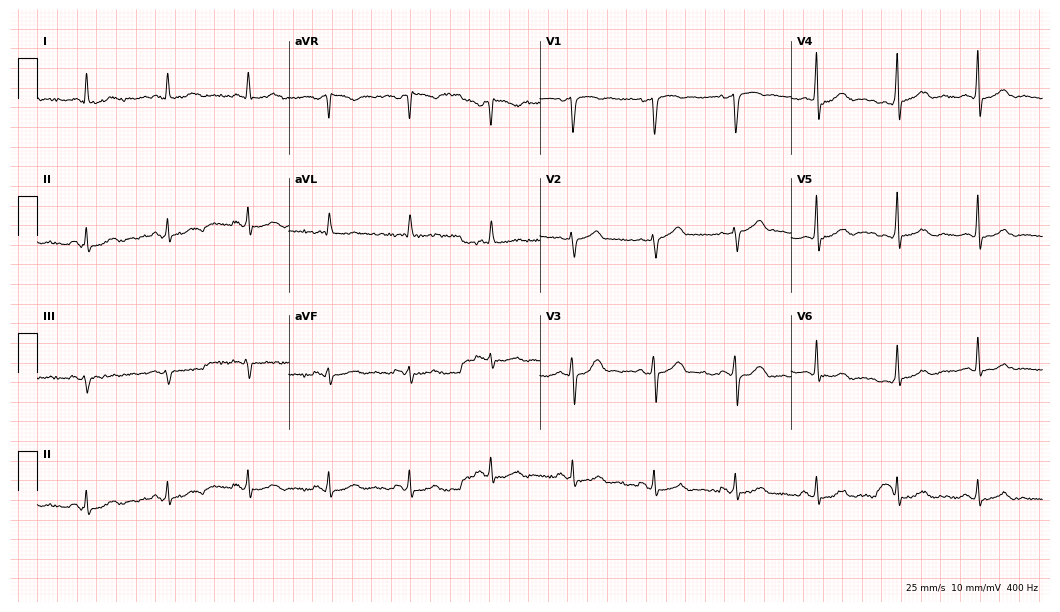
12-lead ECG from a 65-year-old man (10.2-second recording at 400 Hz). No first-degree AV block, right bundle branch block, left bundle branch block, sinus bradycardia, atrial fibrillation or sinus tachycardia recorded for this tracing. Findings outside these six are not listed.